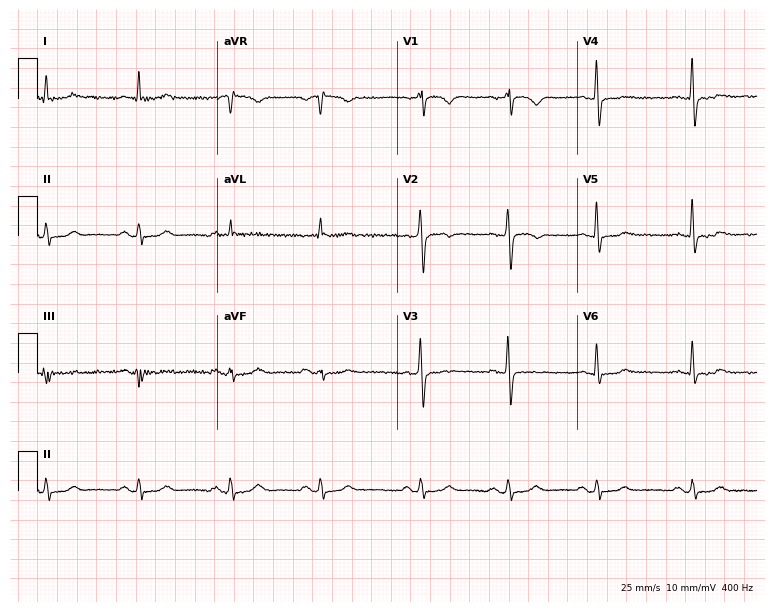
ECG — a woman, 57 years old. Screened for six findings — first-degree AV block, right bundle branch block (RBBB), left bundle branch block (LBBB), sinus bradycardia, atrial fibrillation (AF), sinus tachycardia — none is recorded.